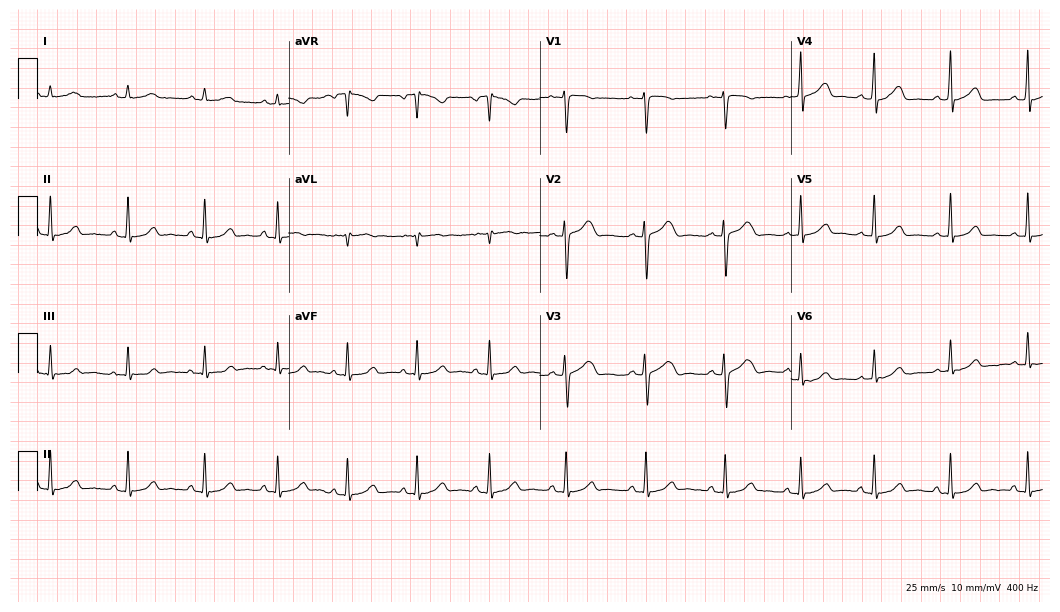
Resting 12-lead electrocardiogram (10.2-second recording at 400 Hz). Patient: a female, 34 years old. Read as a normal ECG.